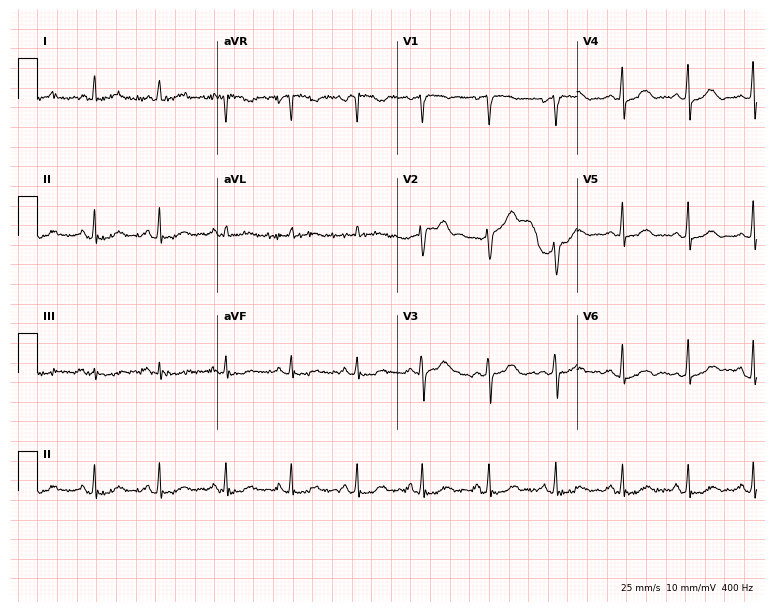
Resting 12-lead electrocardiogram. Patient: a 53-year-old female. Read as a normal ECG.